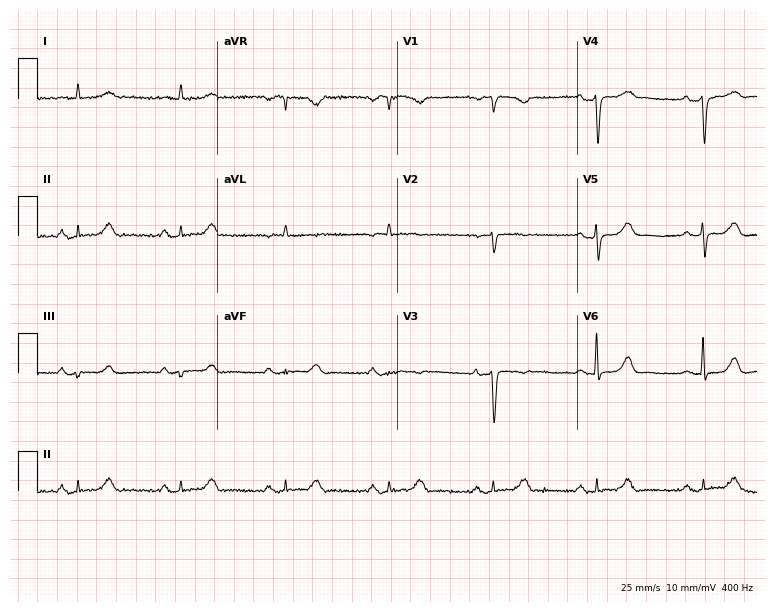
12-lead ECG (7.3-second recording at 400 Hz) from a female patient, 82 years old. Screened for six findings — first-degree AV block, right bundle branch block (RBBB), left bundle branch block (LBBB), sinus bradycardia, atrial fibrillation (AF), sinus tachycardia — none is recorded. Only these six findings were labelled.